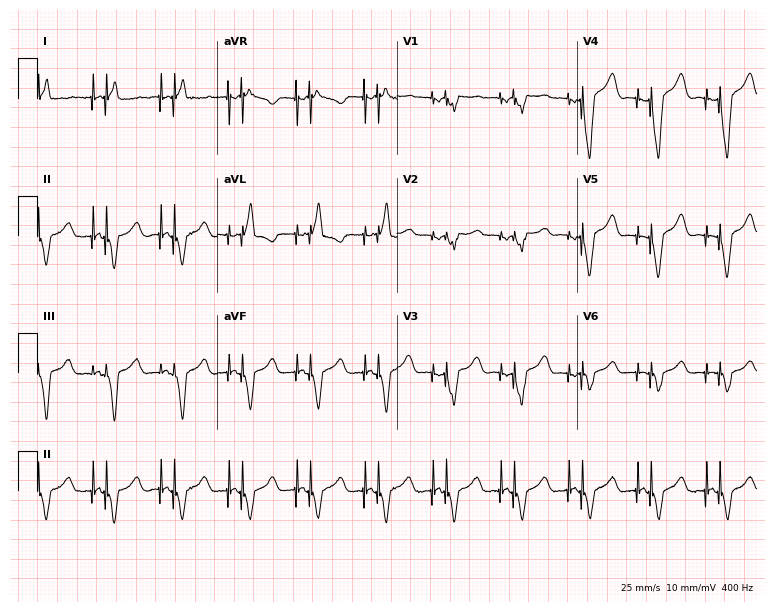
ECG (7.3-second recording at 400 Hz) — a female patient, 61 years old. Screened for six findings — first-degree AV block, right bundle branch block, left bundle branch block, sinus bradycardia, atrial fibrillation, sinus tachycardia — none is recorded.